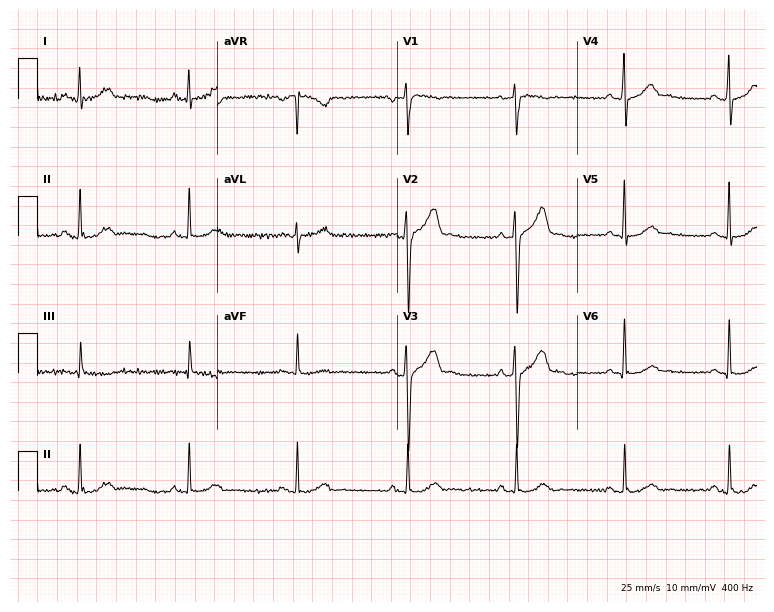
Standard 12-lead ECG recorded from a 45-year-old male. None of these six findings is recorded: first-degree AV block, right bundle branch block (RBBB), left bundle branch block (LBBB), sinus bradycardia, atrial fibrillation (AF), sinus tachycardia. Other findings, if any, are not listed.